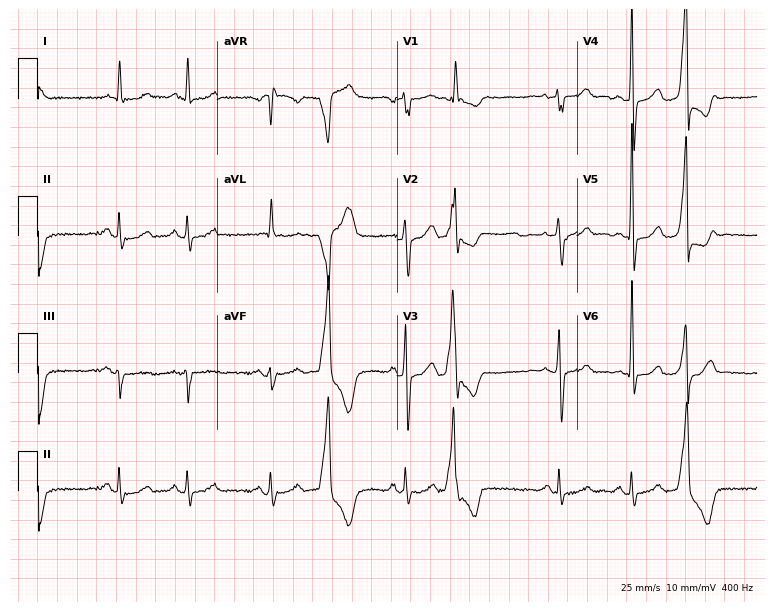
Standard 12-lead ECG recorded from a male patient, 66 years old (7.3-second recording at 400 Hz). None of these six findings is recorded: first-degree AV block, right bundle branch block (RBBB), left bundle branch block (LBBB), sinus bradycardia, atrial fibrillation (AF), sinus tachycardia. Other findings, if any, are not listed.